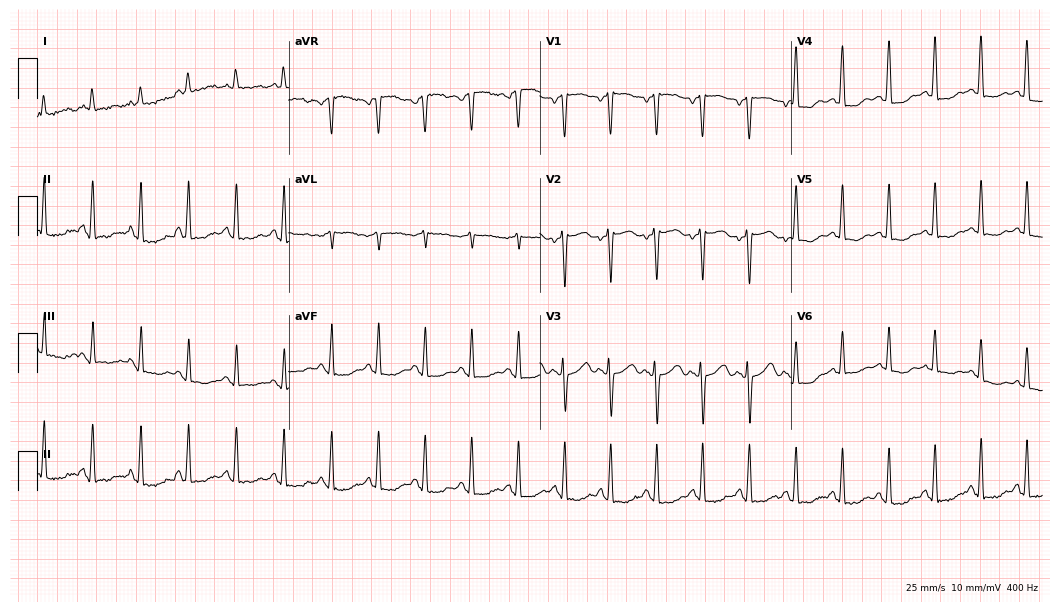
12-lead ECG (10.2-second recording at 400 Hz) from a female, 38 years old. Findings include sinus tachycardia (a sinus rate of 100 beats per minute or more).